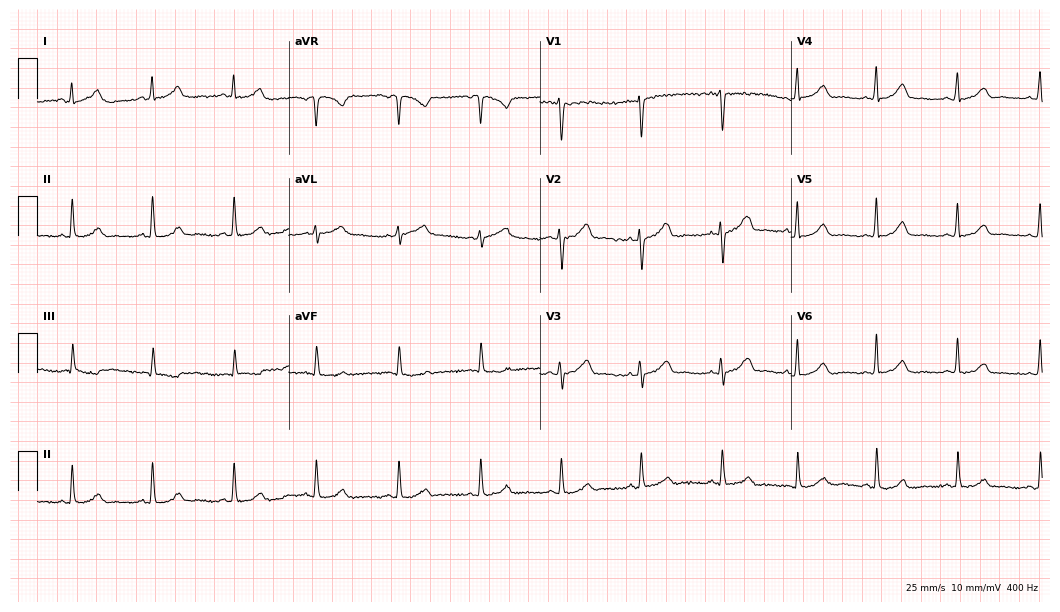
Electrocardiogram (10.2-second recording at 400 Hz), a 38-year-old female patient. Of the six screened findings (first-degree AV block, right bundle branch block (RBBB), left bundle branch block (LBBB), sinus bradycardia, atrial fibrillation (AF), sinus tachycardia), none is recorded.